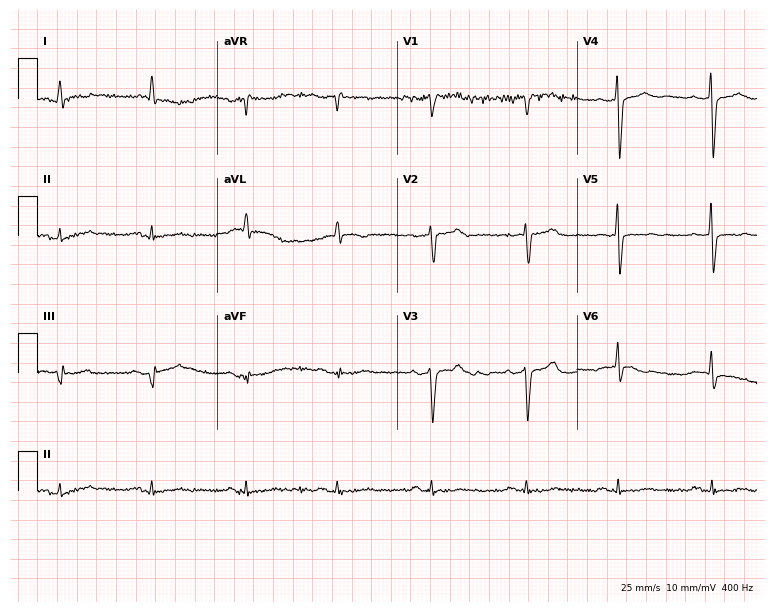
Electrocardiogram, a 60-year-old male. Of the six screened findings (first-degree AV block, right bundle branch block, left bundle branch block, sinus bradycardia, atrial fibrillation, sinus tachycardia), none is recorded. Other findings, if any, are not listed.